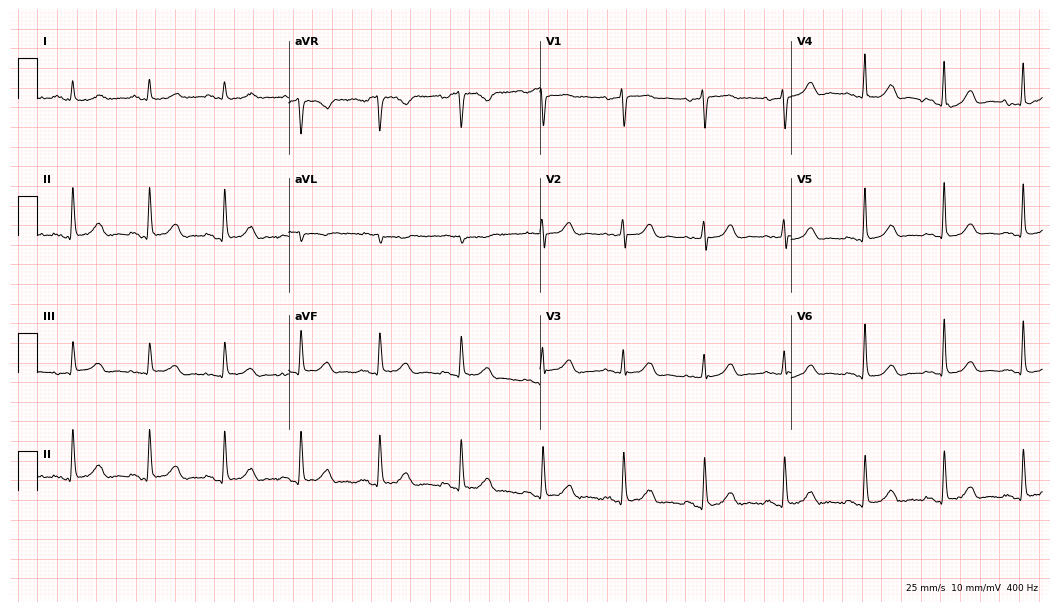
12-lead ECG from a female, 75 years old (10.2-second recording at 400 Hz). No first-degree AV block, right bundle branch block, left bundle branch block, sinus bradycardia, atrial fibrillation or sinus tachycardia recorded for this tracing. Findings outside these six are not listed.